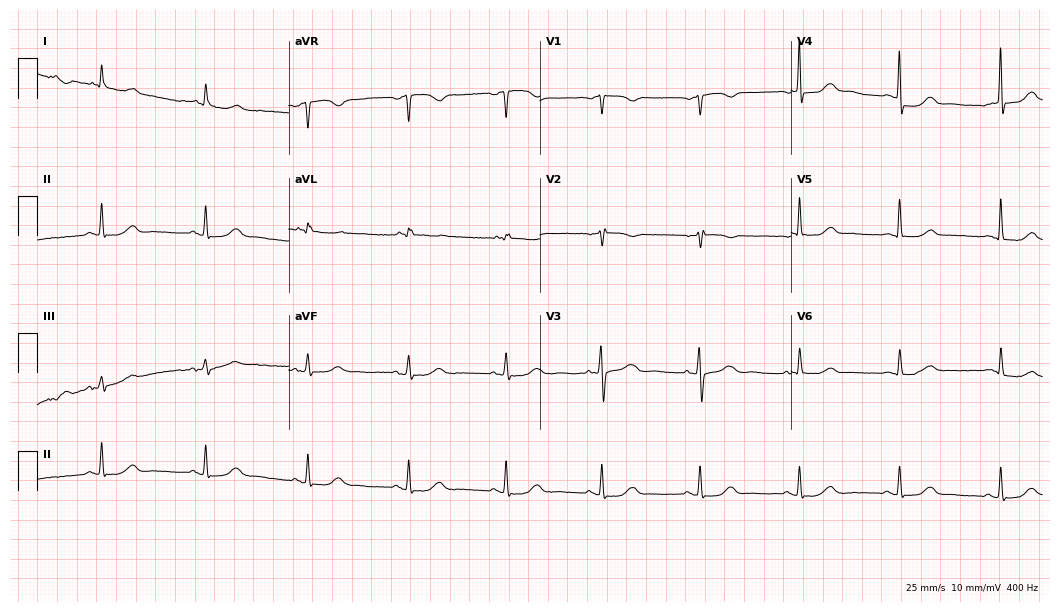
Resting 12-lead electrocardiogram. Patient: a woman, 62 years old. Read as a normal ECG.